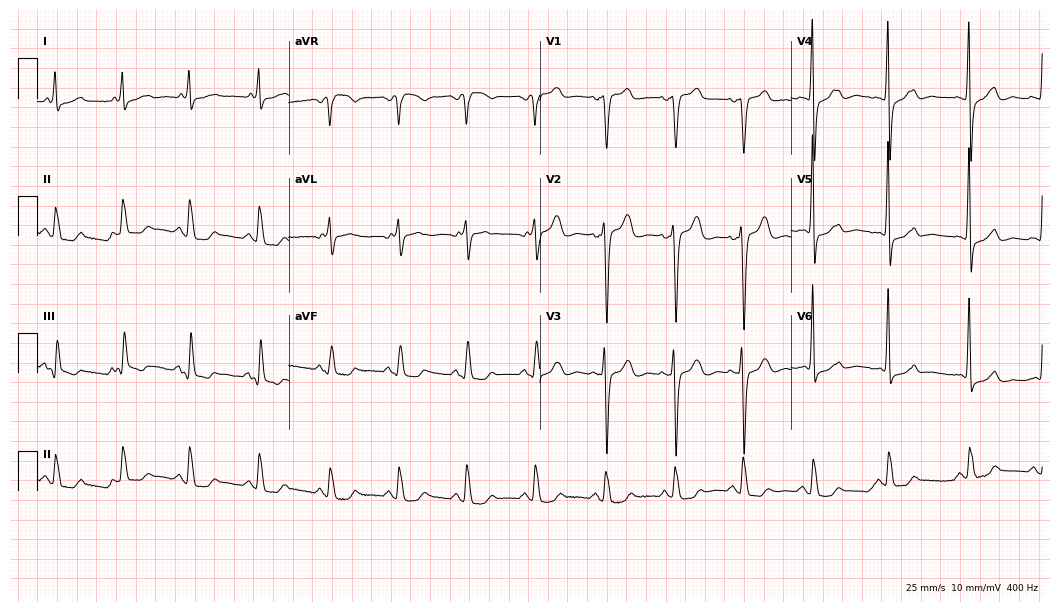
Standard 12-lead ECG recorded from a 72-year-old female patient (10.2-second recording at 400 Hz). None of these six findings is recorded: first-degree AV block, right bundle branch block (RBBB), left bundle branch block (LBBB), sinus bradycardia, atrial fibrillation (AF), sinus tachycardia.